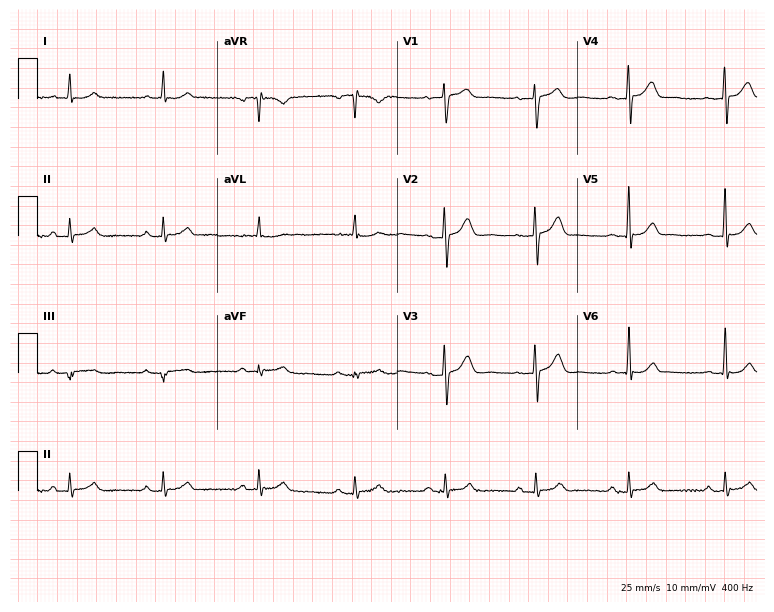
12-lead ECG from a 49-year-old male (7.3-second recording at 400 Hz). No first-degree AV block, right bundle branch block (RBBB), left bundle branch block (LBBB), sinus bradycardia, atrial fibrillation (AF) or sinus tachycardia recorded for this tracing. Only these six findings were labelled.